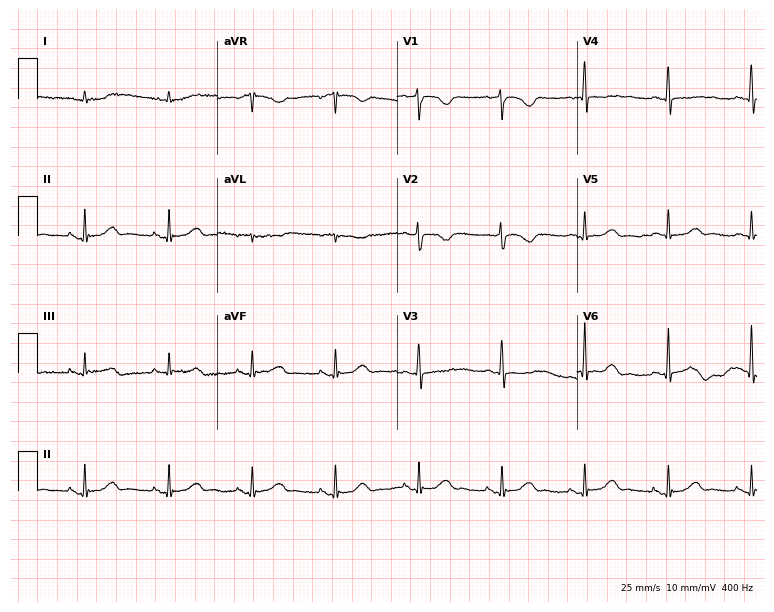
ECG (7.3-second recording at 400 Hz) — an 83-year-old woman. Screened for six findings — first-degree AV block, right bundle branch block, left bundle branch block, sinus bradycardia, atrial fibrillation, sinus tachycardia — none is recorded. Findings outside these six are not listed.